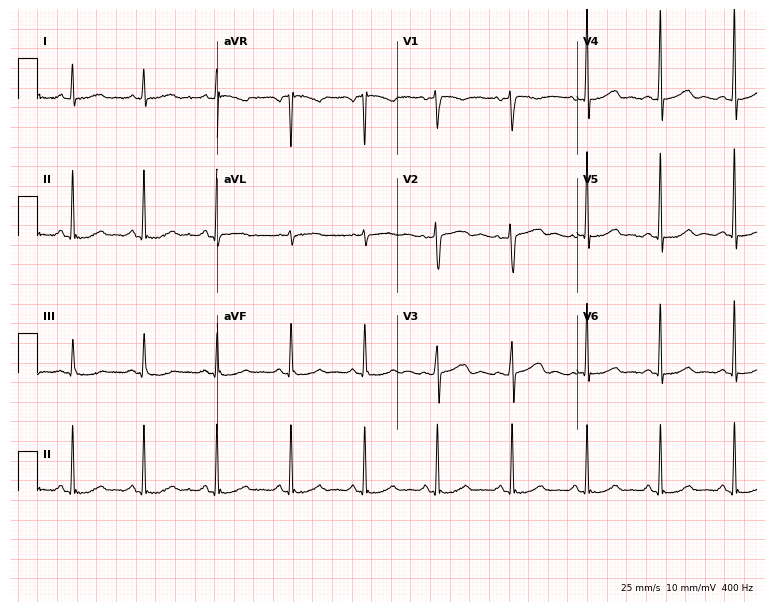
Electrocardiogram, a woman, 52 years old. Overall reading on record: normal ECG.